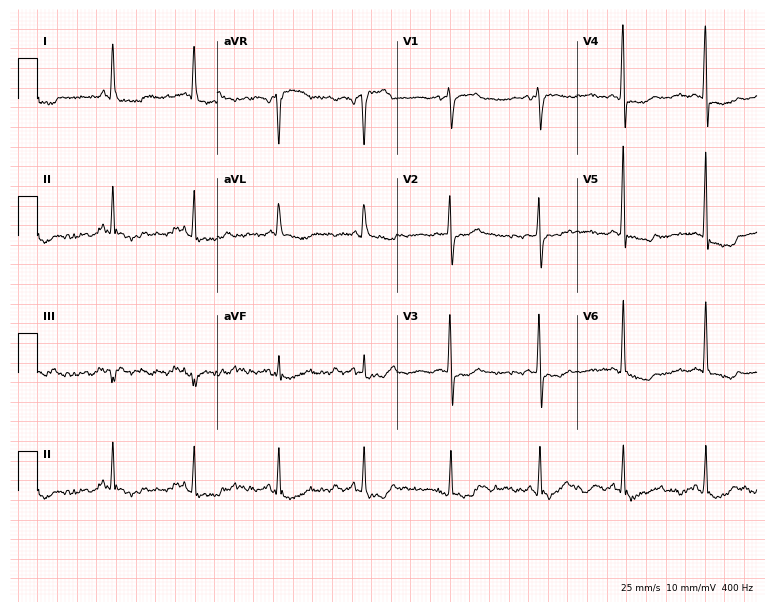
Standard 12-lead ECG recorded from an 85-year-old female patient. None of these six findings is recorded: first-degree AV block, right bundle branch block, left bundle branch block, sinus bradycardia, atrial fibrillation, sinus tachycardia. Only these six findings were labelled.